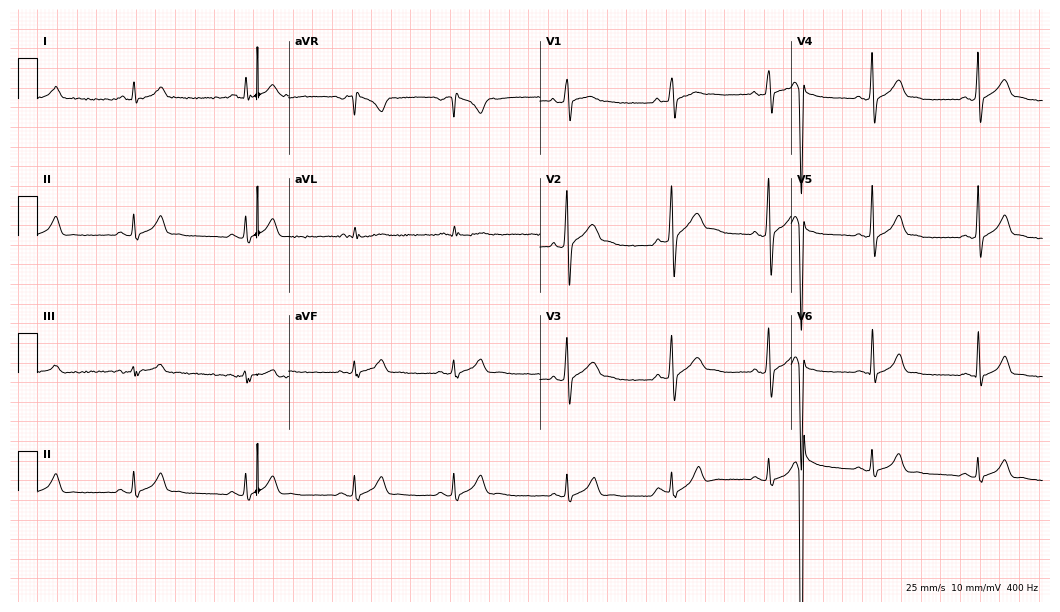
12-lead ECG from a 22-year-old male. No first-degree AV block, right bundle branch block, left bundle branch block, sinus bradycardia, atrial fibrillation or sinus tachycardia recorded for this tracing.